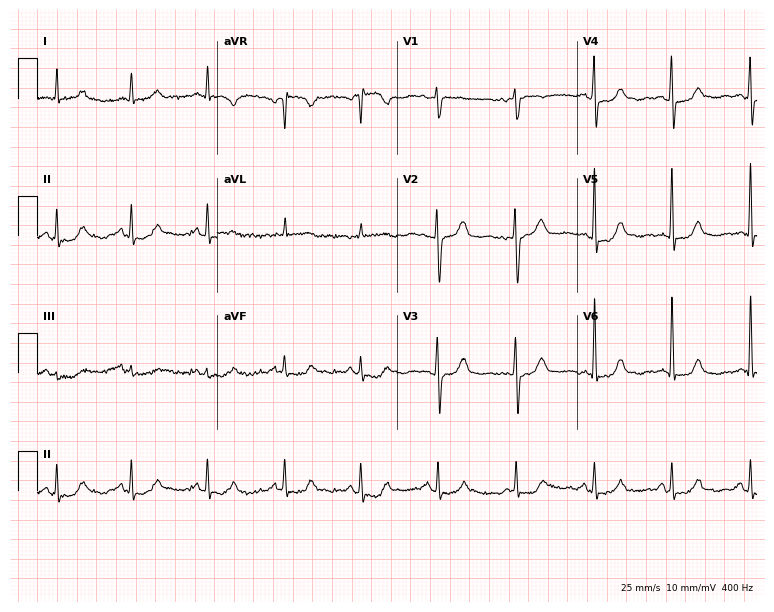
Resting 12-lead electrocardiogram. Patient: a 62-year-old female. None of these six findings is recorded: first-degree AV block, right bundle branch block, left bundle branch block, sinus bradycardia, atrial fibrillation, sinus tachycardia. Only these six findings were labelled.